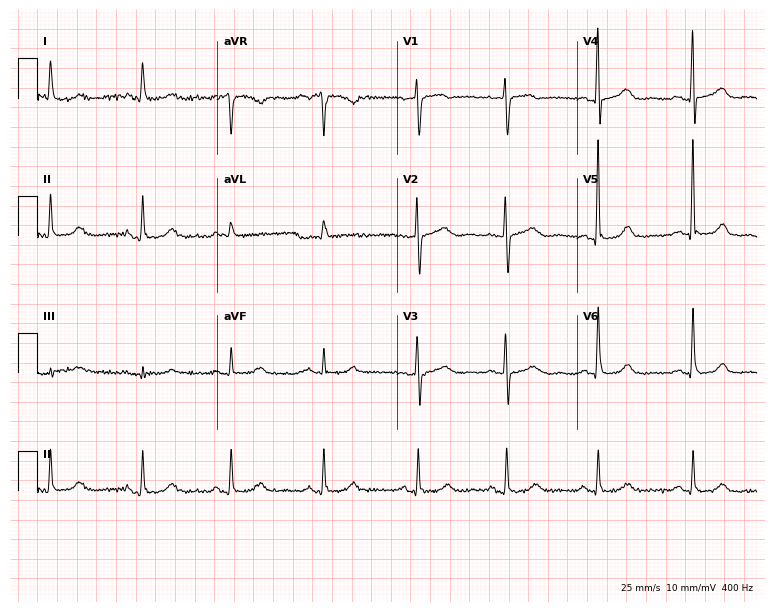
ECG — a female patient, 51 years old. Labelled as a normal ECG.